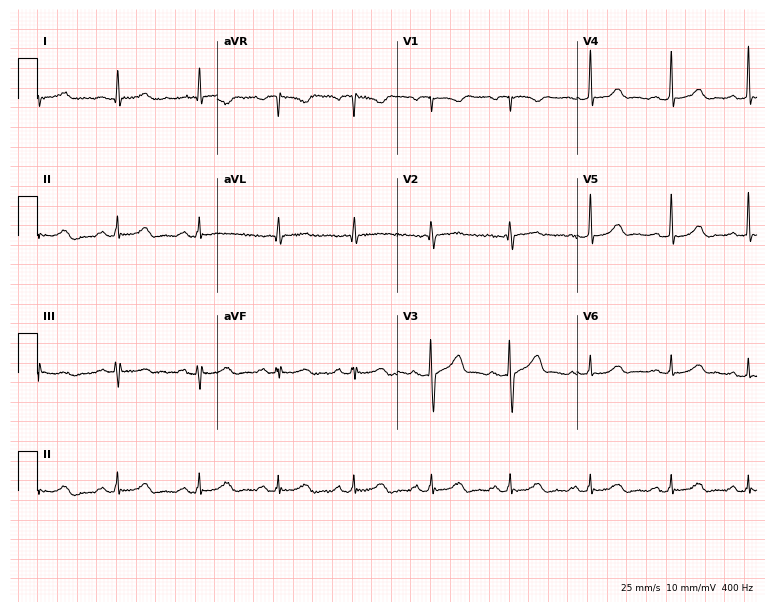
Resting 12-lead electrocardiogram. Patient: a 32-year-old woman. None of these six findings is recorded: first-degree AV block, right bundle branch block, left bundle branch block, sinus bradycardia, atrial fibrillation, sinus tachycardia.